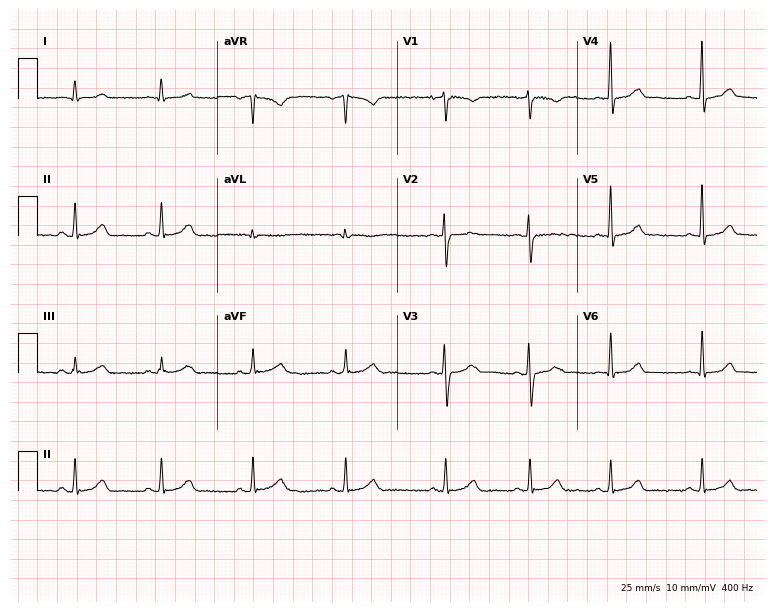
12-lead ECG (7.3-second recording at 400 Hz) from a female patient, 25 years old. Screened for six findings — first-degree AV block, right bundle branch block, left bundle branch block, sinus bradycardia, atrial fibrillation, sinus tachycardia — none is recorded. Findings outside these six are not listed.